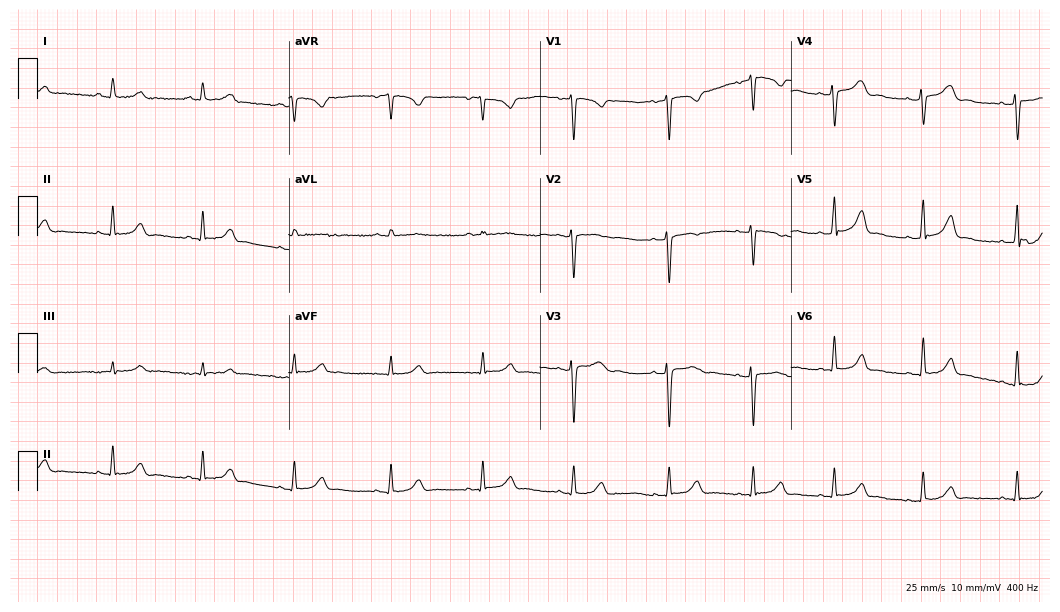
12-lead ECG from a female patient, 31 years old (10.2-second recording at 400 Hz). Recorded interpretation: within normal limits.